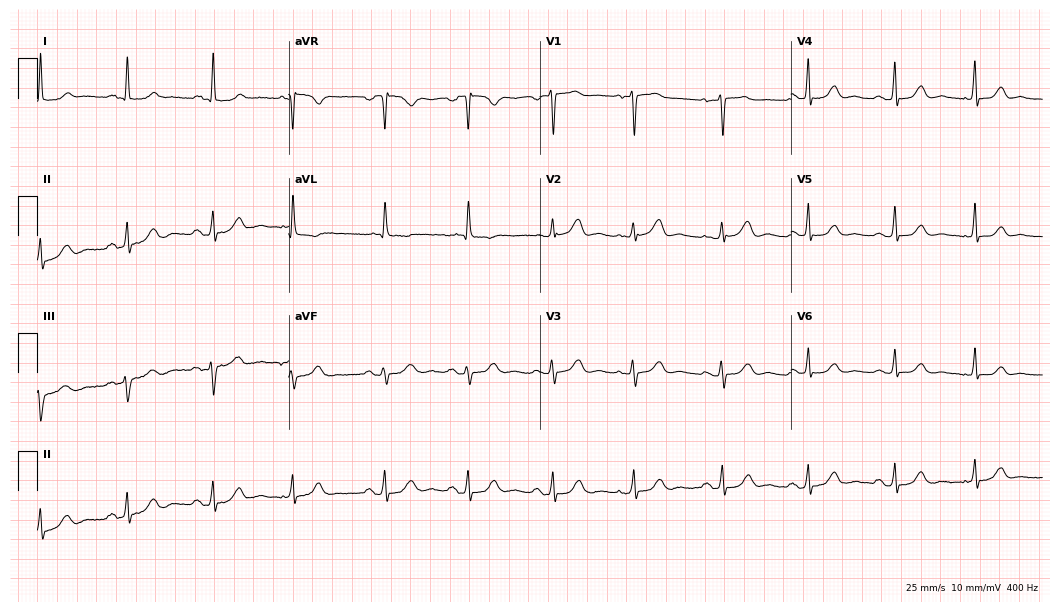
12-lead ECG (10.2-second recording at 400 Hz) from an 80-year-old female. Screened for six findings — first-degree AV block, right bundle branch block (RBBB), left bundle branch block (LBBB), sinus bradycardia, atrial fibrillation (AF), sinus tachycardia — none is recorded. Other findings, if any, are not listed.